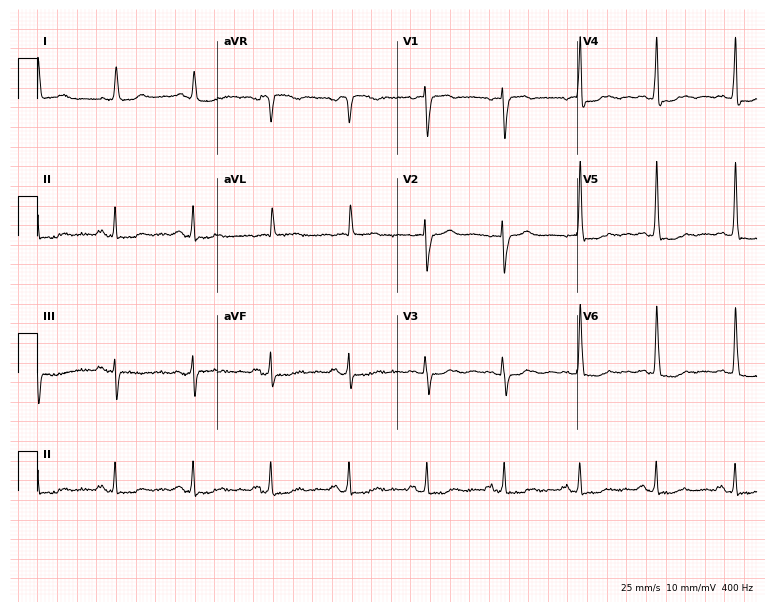
Resting 12-lead electrocardiogram. Patient: a woman, 85 years old. None of these six findings is recorded: first-degree AV block, right bundle branch block (RBBB), left bundle branch block (LBBB), sinus bradycardia, atrial fibrillation (AF), sinus tachycardia.